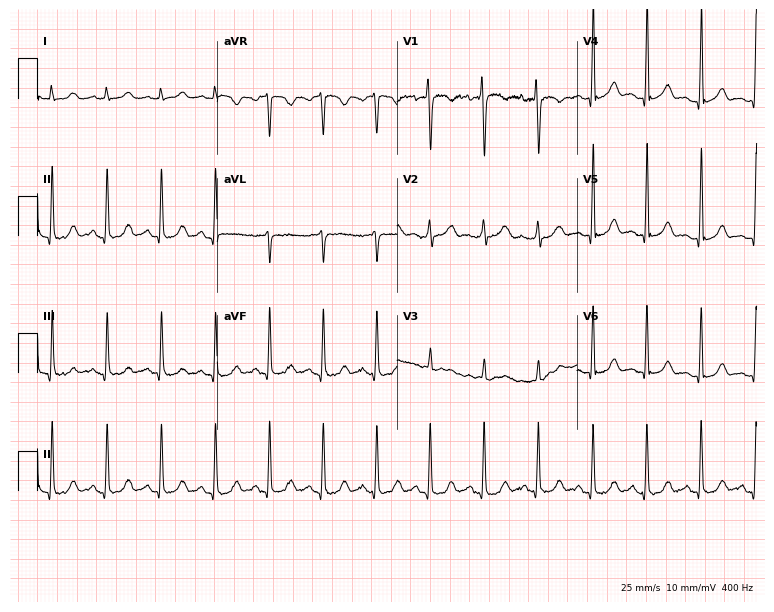
12-lead ECG from a woman, 18 years old. No first-degree AV block, right bundle branch block, left bundle branch block, sinus bradycardia, atrial fibrillation or sinus tachycardia recorded for this tracing.